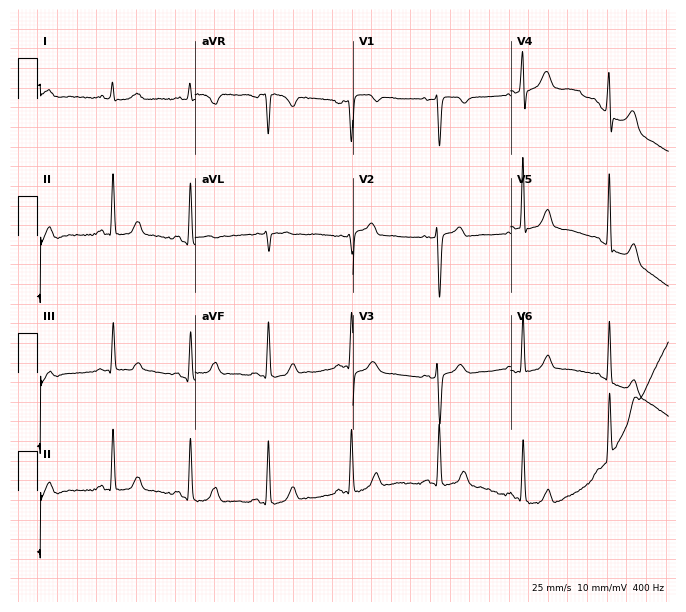
Electrocardiogram, a female patient, 36 years old. Overall reading on record: normal ECG.